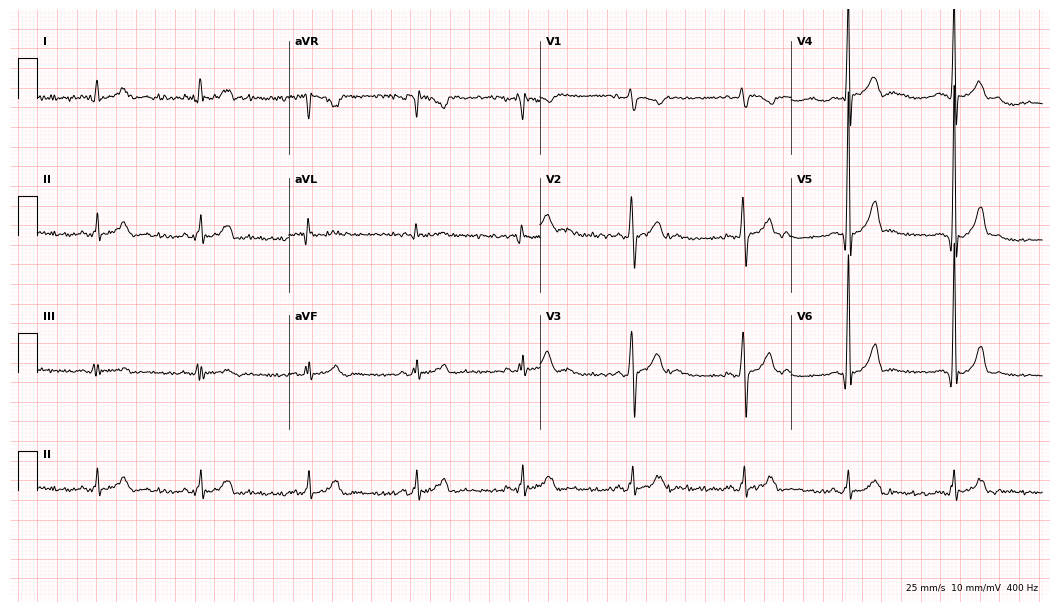
ECG — a 26-year-old man. Labelled as a normal ECG.